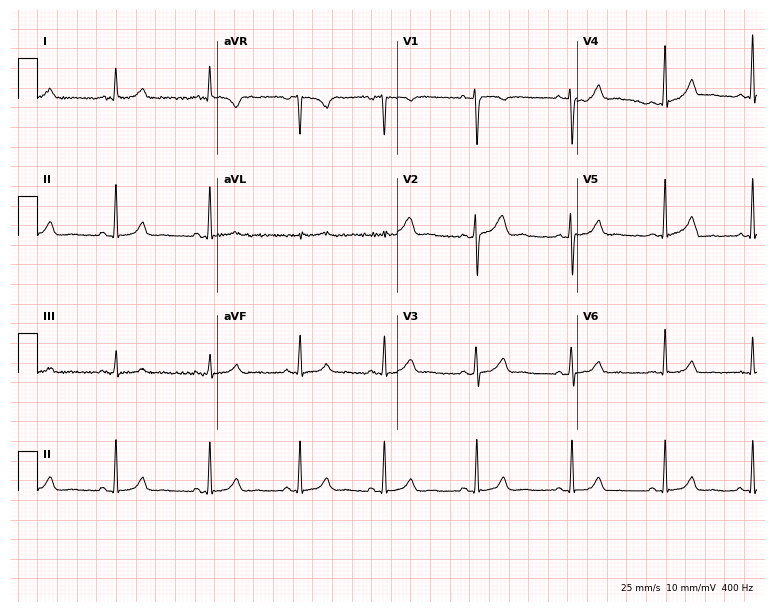
Standard 12-lead ECG recorded from a woman, 33 years old (7.3-second recording at 400 Hz). None of these six findings is recorded: first-degree AV block, right bundle branch block, left bundle branch block, sinus bradycardia, atrial fibrillation, sinus tachycardia.